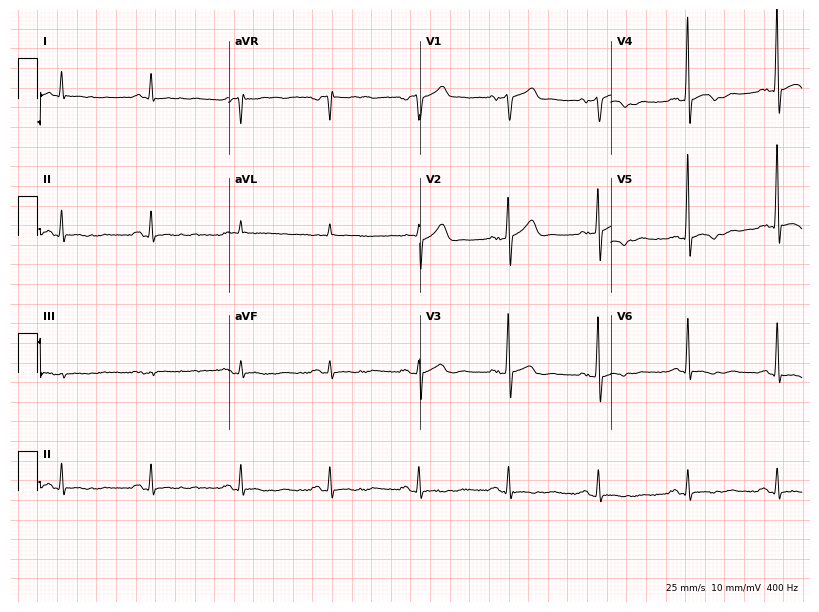
Resting 12-lead electrocardiogram (7.8-second recording at 400 Hz). Patient: a 62-year-old man. None of these six findings is recorded: first-degree AV block, right bundle branch block, left bundle branch block, sinus bradycardia, atrial fibrillation, sinus tachycardia.